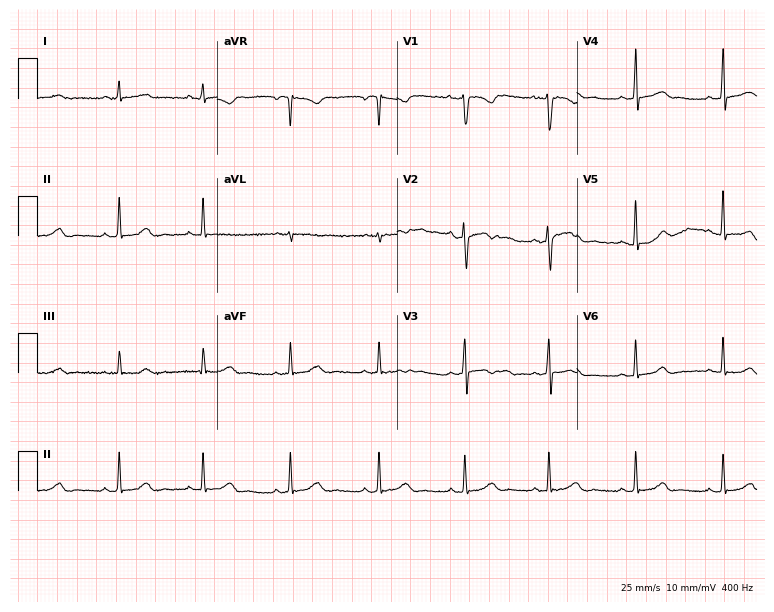
ECG — a woman, 29 years old. Screened for six findings — first-degree AV block, right bundle branch block (RBBB), left bundle branch block (LBBB), sinus bradycardia, atrial fibrillation (AF), sinus tachycardia — none is recorded. Other findings, if any, are not listed.